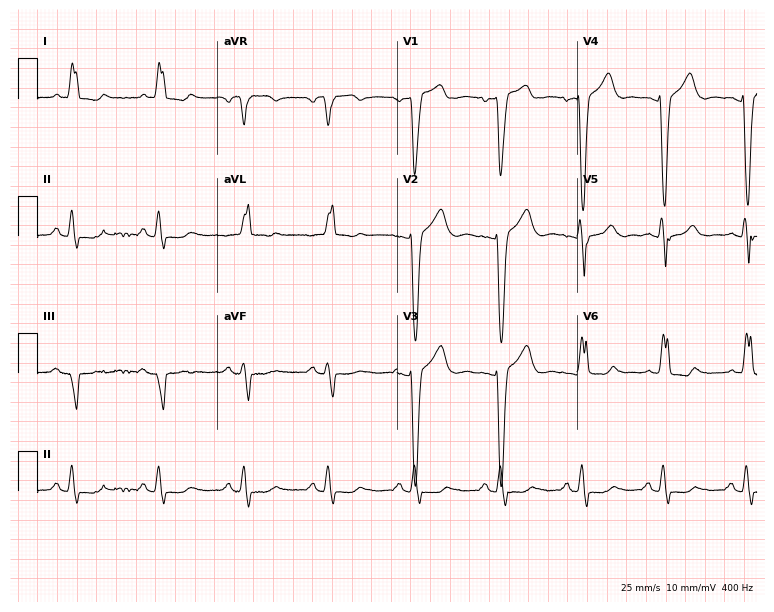
Resting 12-lead electrocardiogram (7.3-second recording at 400 Hz). Patient: a female, 69 years old. The tracing shows left bundle branch block.